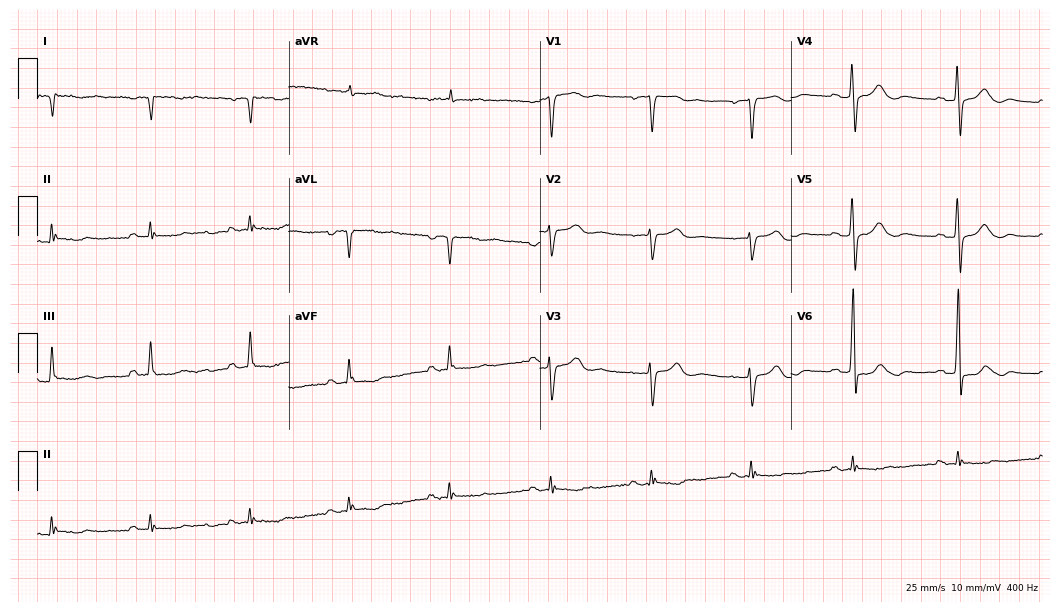
ECG (10.2-second recording at 400 Hz) — a male, 67 years old. Labelled as a normal ECG.